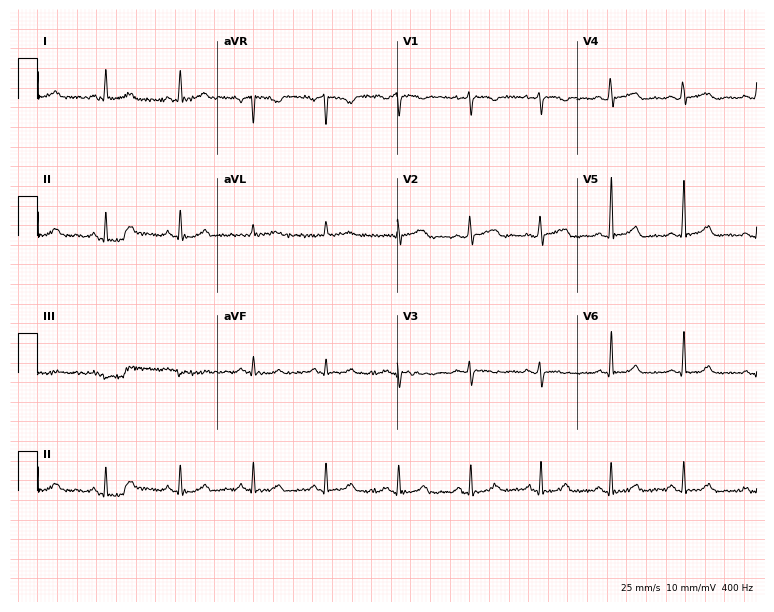
Standard 12-lead ECG recorded from a woman, 43 years old. None of these six findings is recorded: first-degree AV block, right bundle branch block (RBBB), left bundle branch block (LBBB), sinus bradycardia, atrial fibrillation (AF), sinus tachycardia. Findings outside these six are not listed.